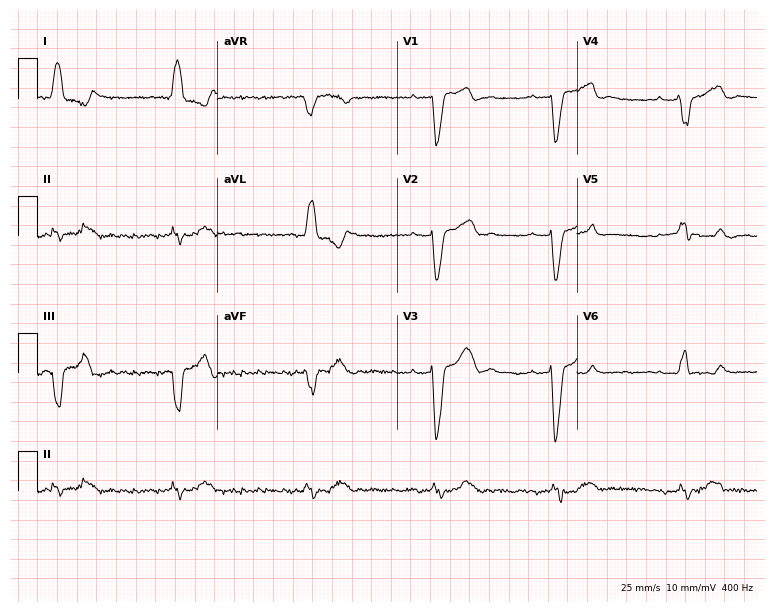
Electrocardiogram (7.3-second recording at 400 Hz), a female, 84 years old. Interpretation includes left bundle branch block, sinus bradycardia (a sinus rate of 50 beats per minute or less).